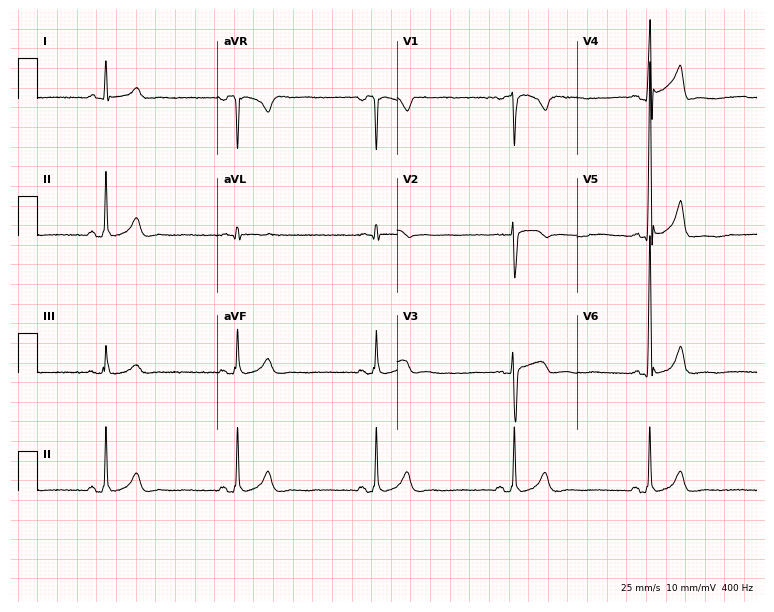
Electrocardiogram, a male, 45 years old. Interpretation includes sinus bradycardia (a sinus rate of 50 beats per minute or less).